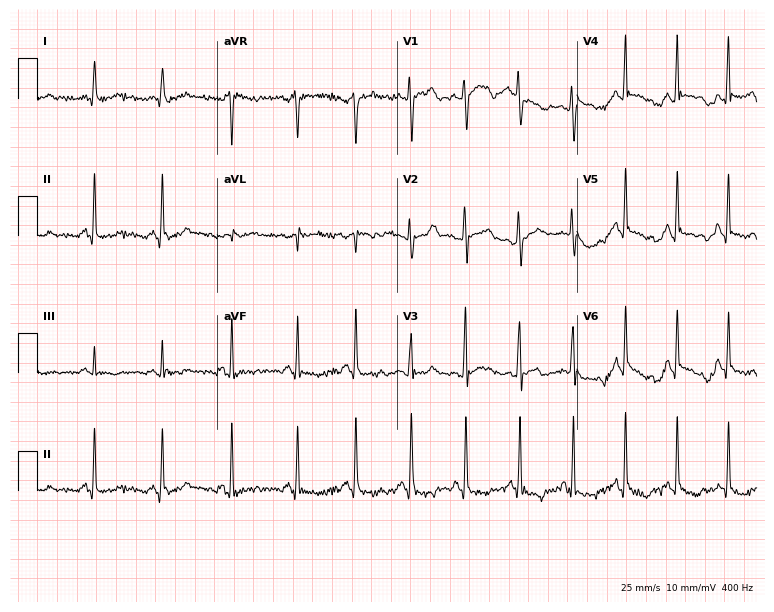
Electrocardiogram (7.3-second recording at 400 Hz), a male, 36 years old. Interpretation includes sinus tachycardia (a sinus rate of 100 beats per minute or more).